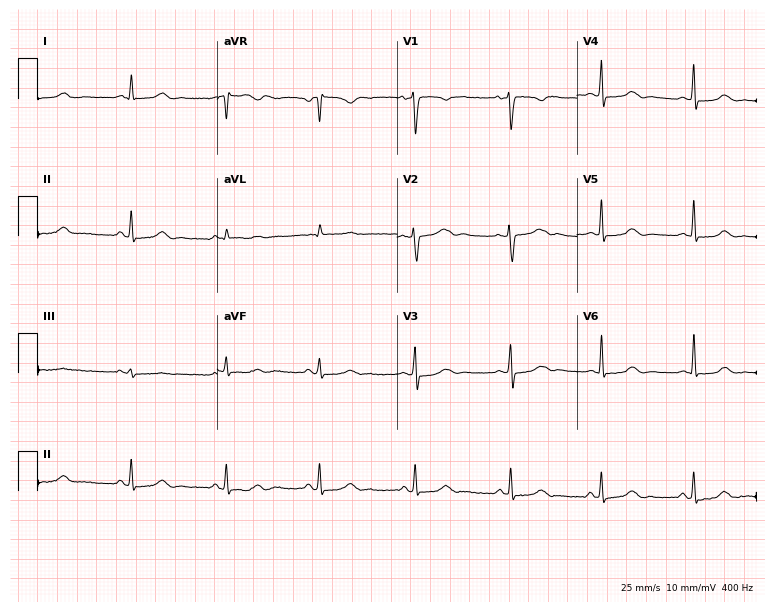
Resting 12-lead electrocardiogram (7.3-second recording at 400 Hz). Patient: a 34-year-old woman. None of these six findings is recorded: first-degree AV block, right bundle branch block, left bundle branch block, sinus bradycardia, atrial fibrillation, sinus tachycardia.